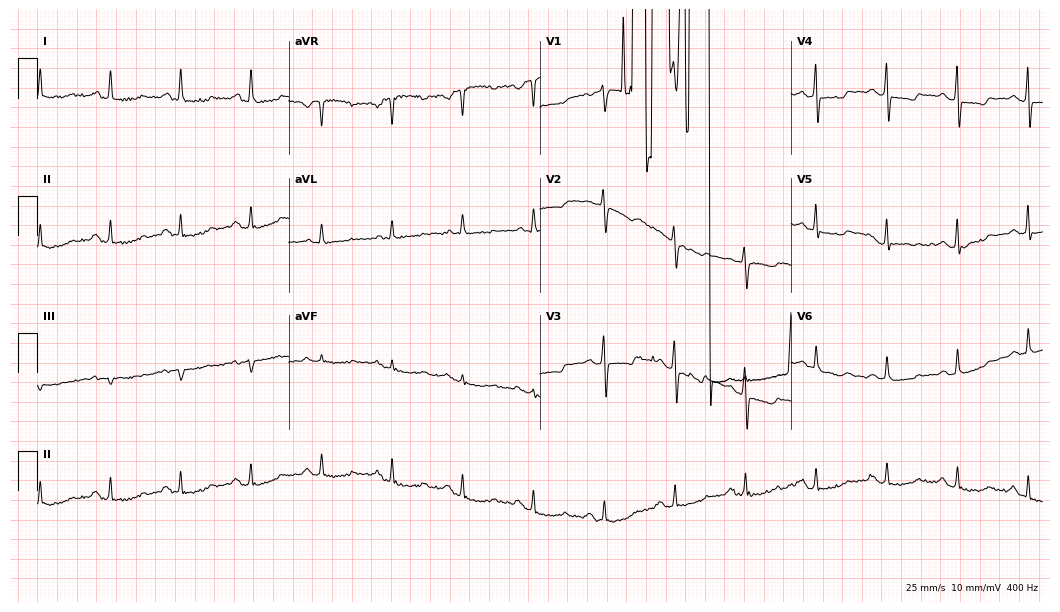
12-lead ECG from a woman, 64 years old. No first-degree AV block, right bundle branch block, left bundle branch block, sinus bradycardia, atrial fibrillation or sinus tachycardia recorded for this tracing. Findings outside these six are not listed.